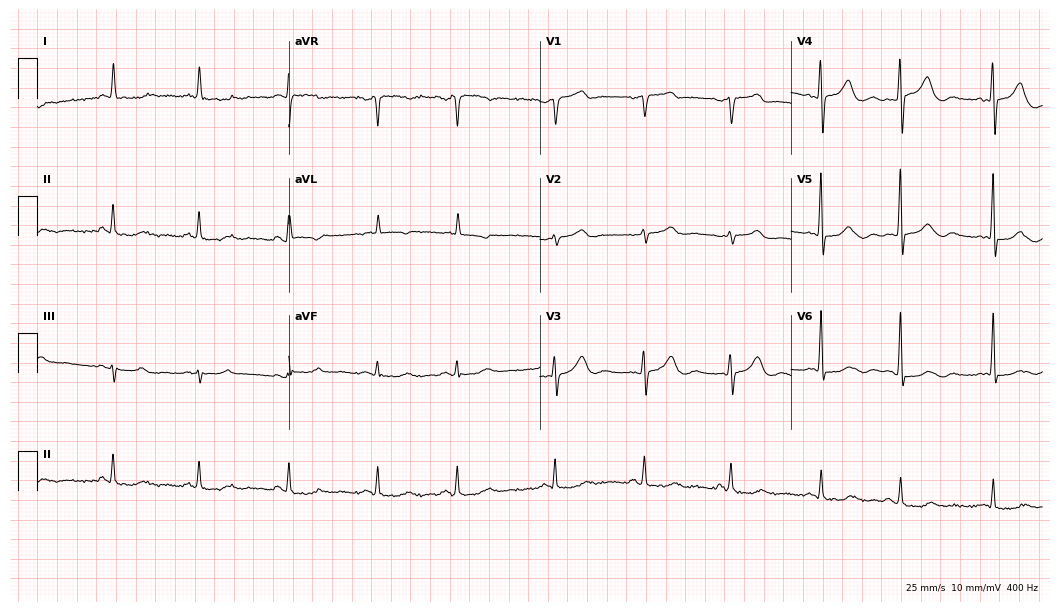
Resting 12-lead electrocardiogram (10.2-second recording at 400 Hz). Patient: a 79-year-old woman. None of these six findings is recorded: first-degree AV block, right bundle branch block (RBBB), left bundle branch block (LBBB), sinus bradycardia, atrial fibrillation (AF), sinus tachycardia. Only these six findings were labelled.